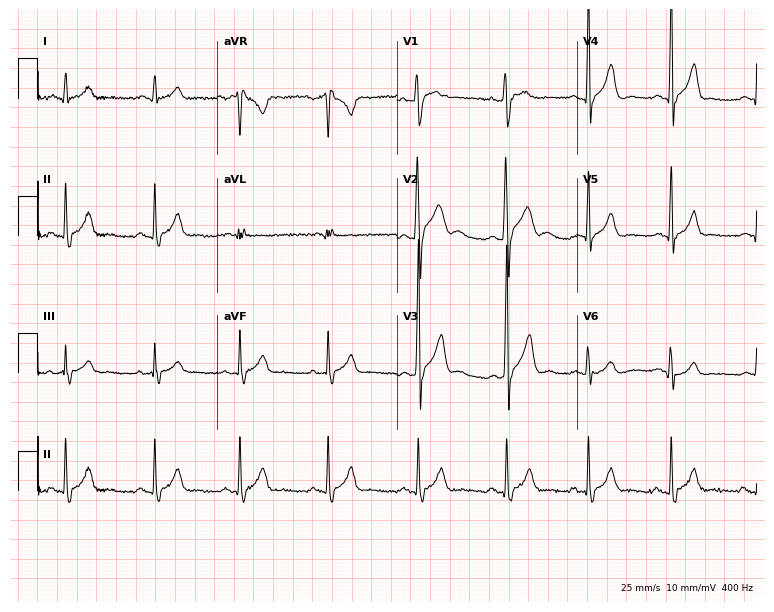
Electrocardiogram, a man, 19 years old. Overall reading on record: normal ECG.